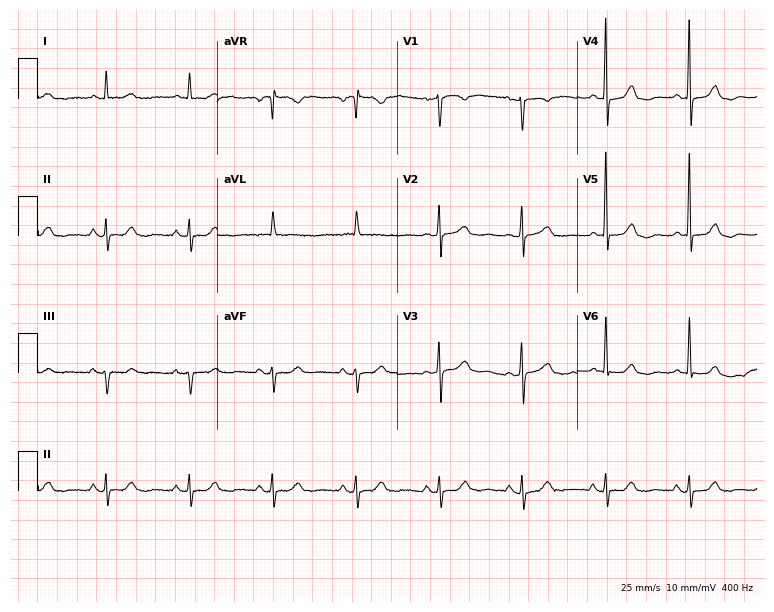
Electrocardiogram, an 82-year-old female. Of the six screened findings (first-degree AV block, right bundle branch block (RBBB), left bundle branch block (LBBB), sinus bradycardia, atrial fibrillation (AF), sinus tachycardia), none is recorded.